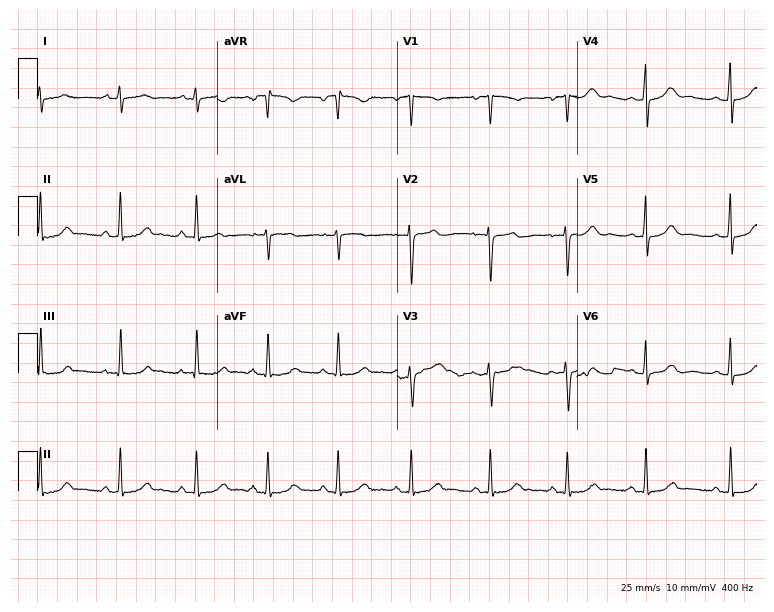
Standard 12-lead ECG recorded from a woman, 25 years old. Read as a normal ECG.